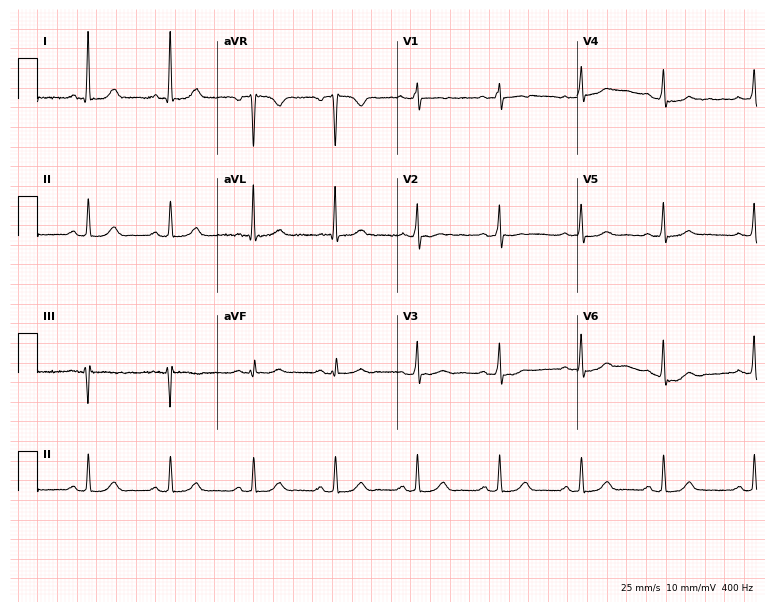
12-lead ECG from a woman, 72 years old (7.3-second recording at 400 Hz). No first-degree AV block, right bundle branch block, left bundle branch block, sinus bradycardia, atrial fibrillation or sinus tachycardia recorded for this tracing.